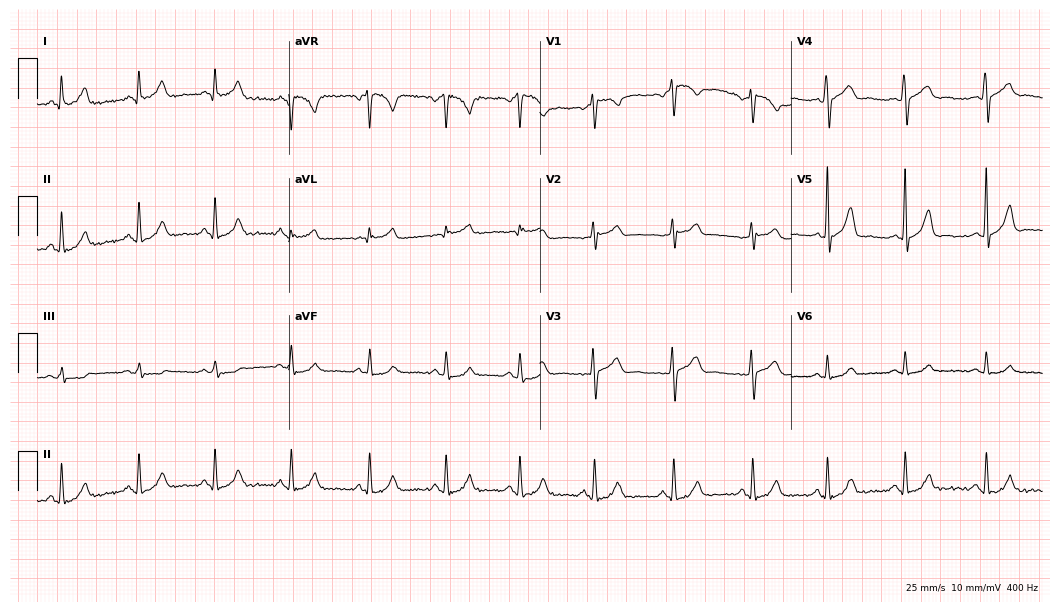
12-lead ECG from a female patient, 37 years old. Labelled as a normal ECG.